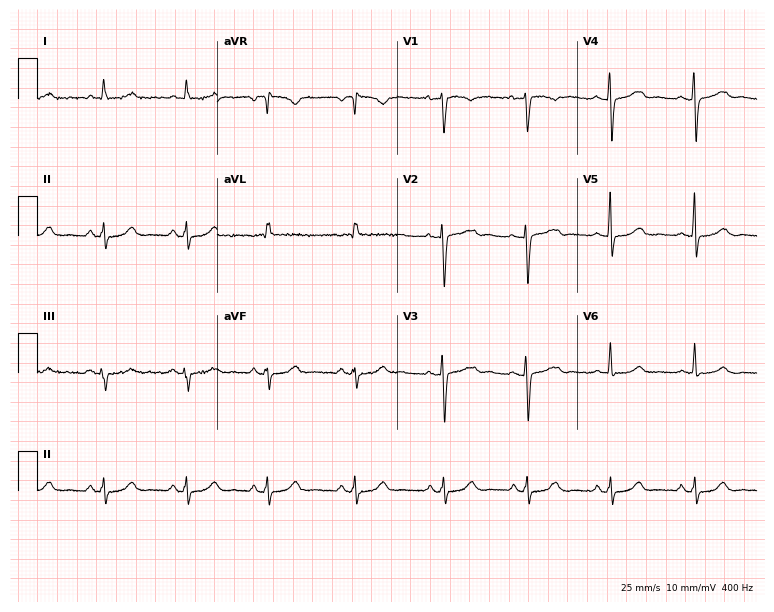
Standard 12-lead ECG recorded from a 42-year-old woman (7.3-second recording at 400 Hz). None of these six findings is recorded: first-degree AV block, right bundle branch block, left bundle branch block, sinus bradycardia, atrial fibrillation, sinus tachycardia. Only these six findings were labelled.